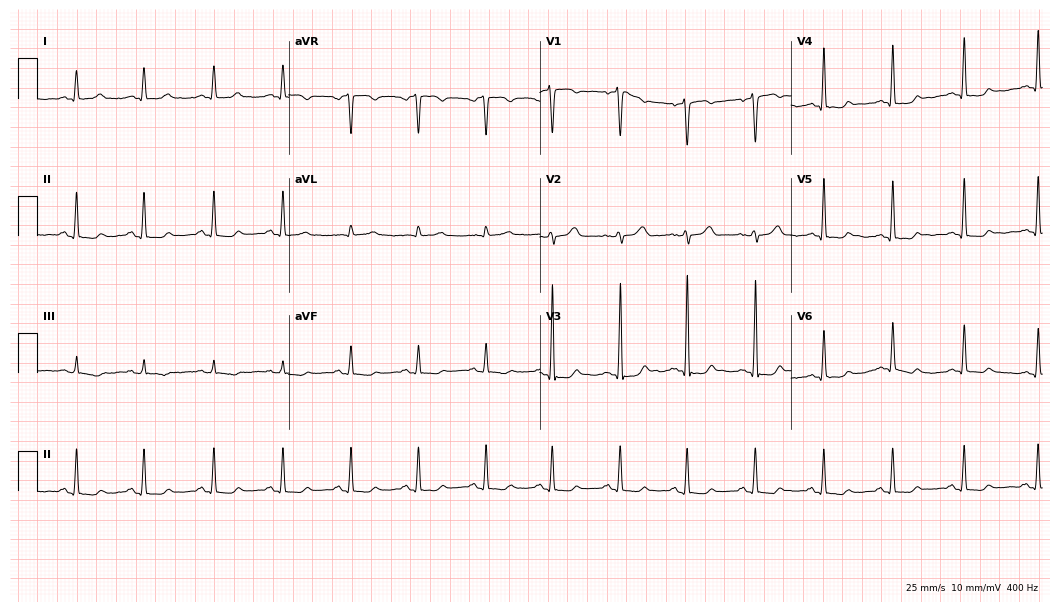
Resting 12-lead electrocardiogram. Patient: a woman, 48 years old. None of these six findings is recorded: first-degree AV block, right bundle branch block (RBBB), left bundle branch block (LBBB), sinus bradycardia, atrial fibrillation (AF), sinus tachycardia. Only these six findings were labelled.